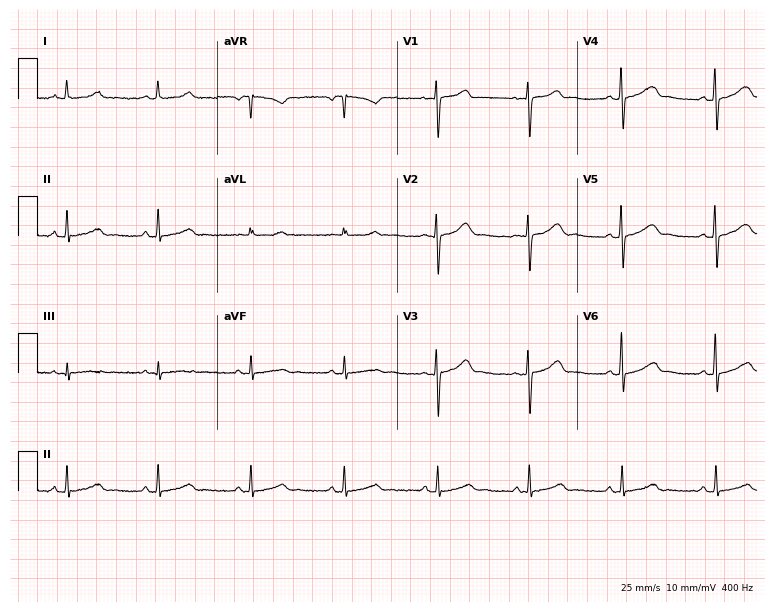
Standard 12-lead ECG recorded from a 40-year-old woman (7.3-second recording at 400 Hz). Read as a normal ECG.